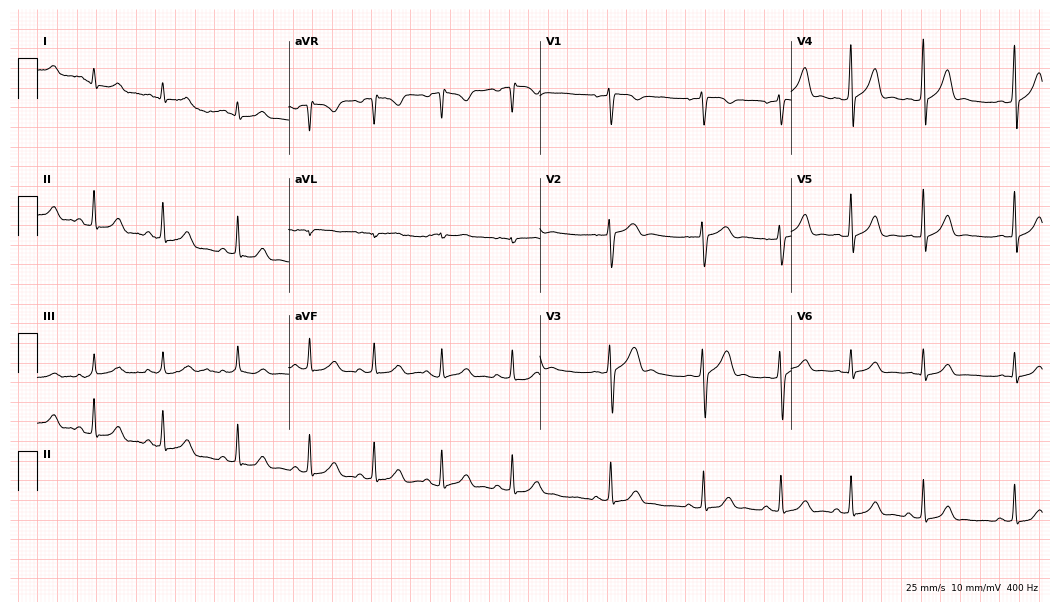
ECG — a 19-year-old male patient. Screened for six findings — first-degree AV block, right bundle branch block, left bundle branch block, sinus bradycardia, atrial fibrillation, sinus tachycardia — none is recorded. Findings outside these six are not listed.